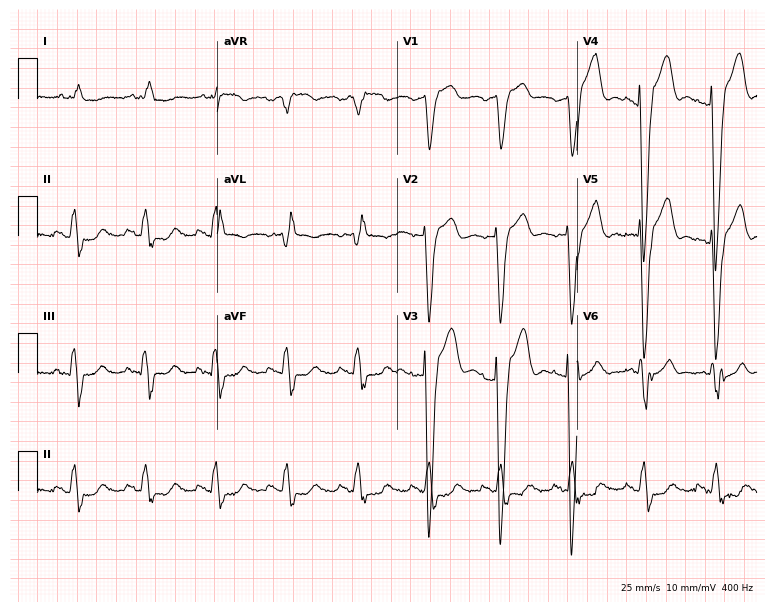
12-lead ECG from a 72-year-old male. Findings include left bundle branch block.